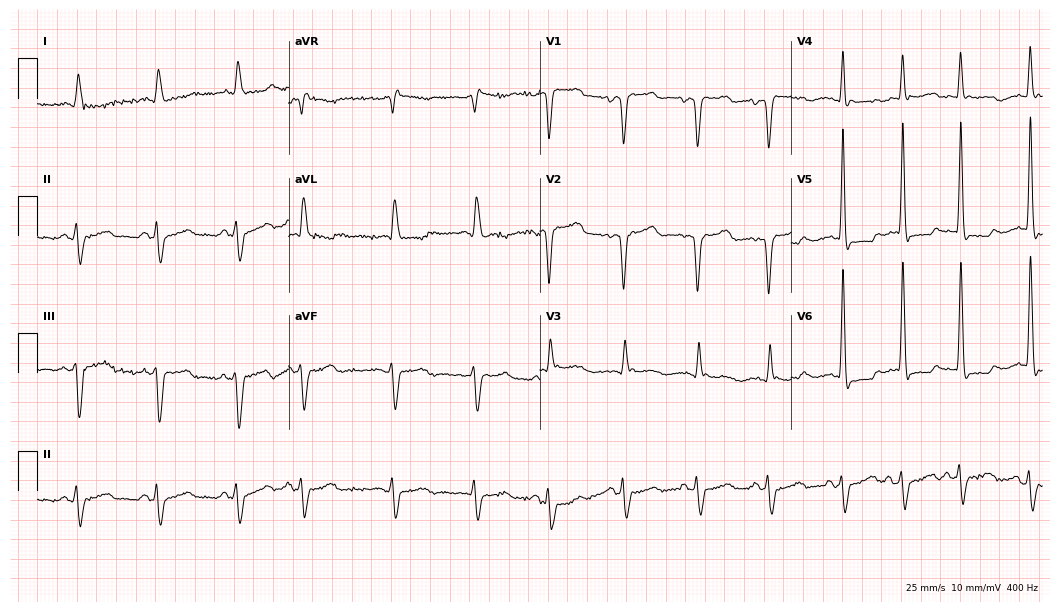
12-lead ECG from an 81-year-old female. No first-degree AV block, right bundle branch block, left bundle branch block, sinus bradycardia, atrial fibrillation or sinus tachycardia recorded for this tracing. Only these six findings were labelled.